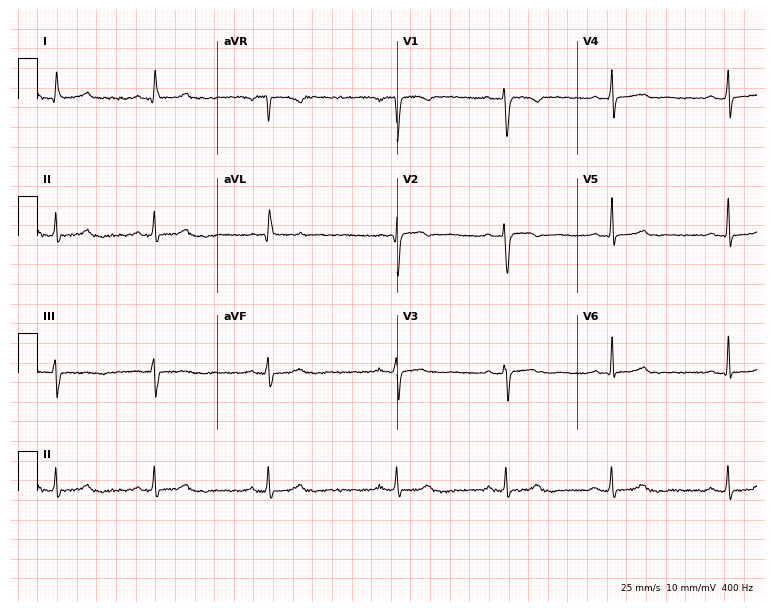
Resting 12-lead electrocardiogram (7.3-second recording at 400 Hz). Patient: a 55-year-old female. Read as a normal ECG.